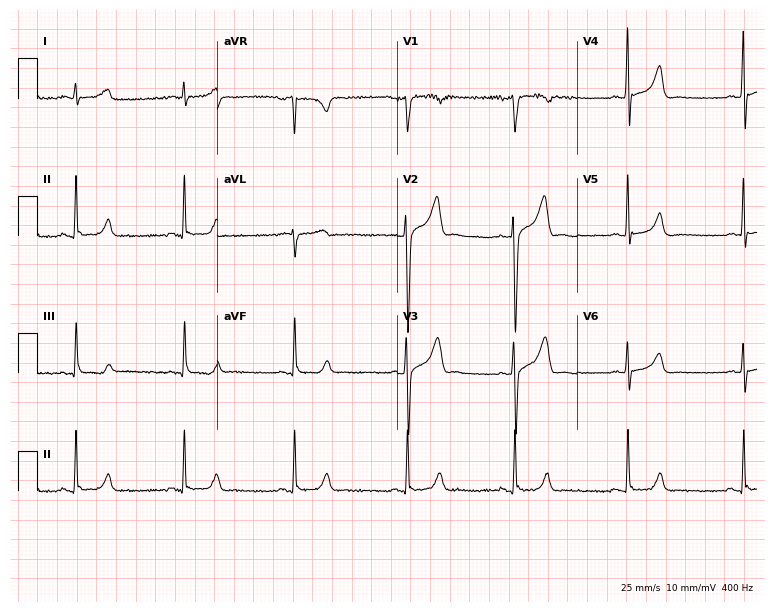
Electrocardiogram (7.3-second recording at 400 Hz), a man, 37 years old. Of the six screened findings (first-degree AV block, right bundle branch block (RBBB), left bundle branch block (LBBB), sinus bradycardia, atrial fibrillation (AF), sinus tachycardia), none is recorded. Other findings, if any, are not listed.